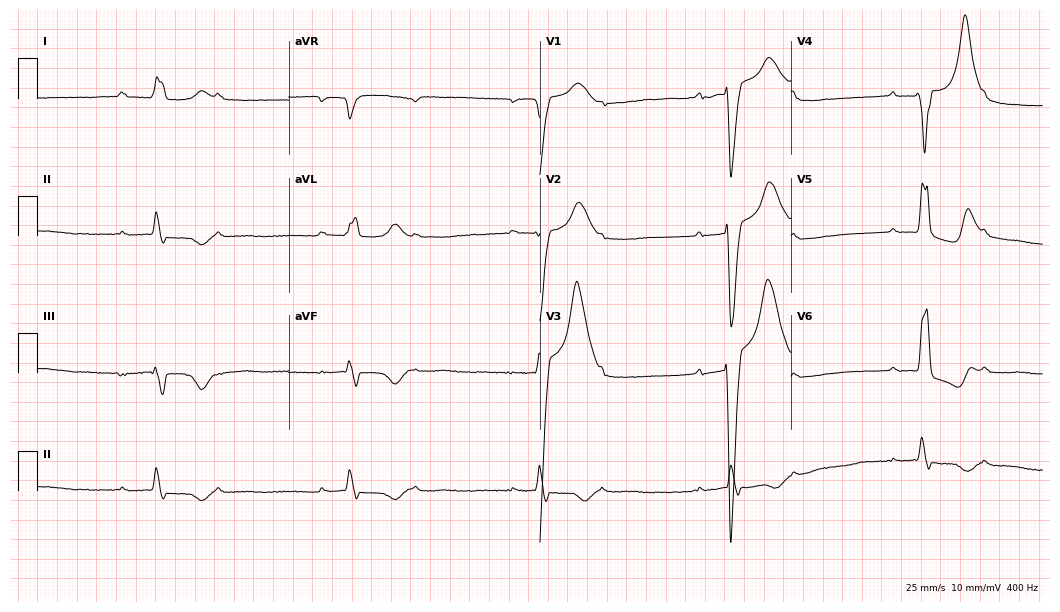
Standard 12-lead ECG recorded from a man, 65 years old. The tracing shows left bundle branch block (LBBB).